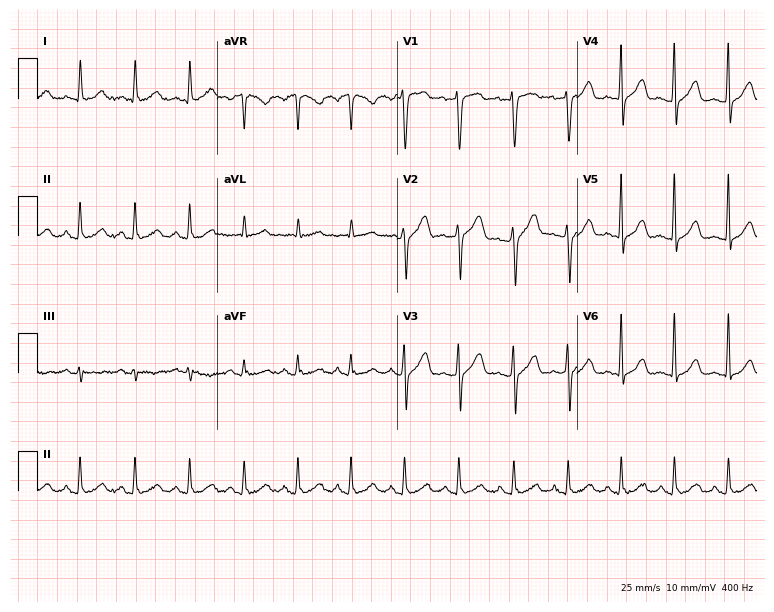
Electrocardiogram, a 42-year-old male. Interpretation includes sinus tachycardia (a sinus rate of 100 beats per minute or more).